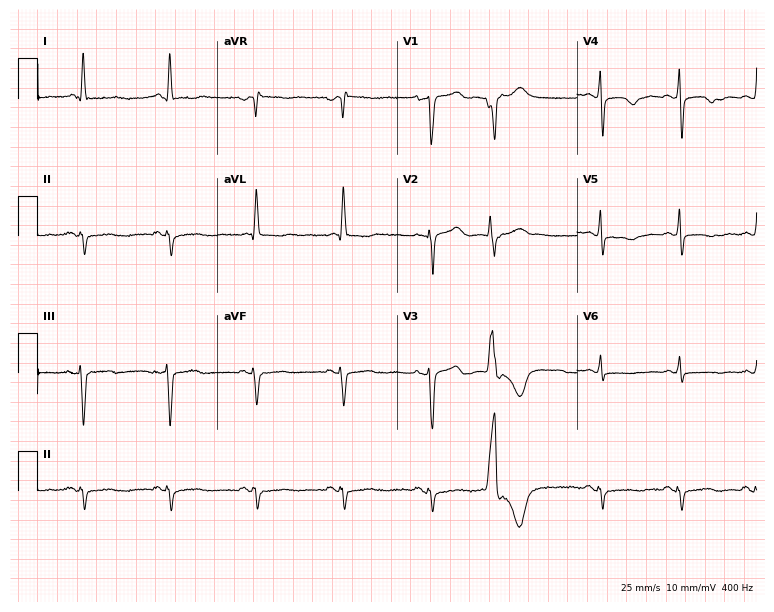
12-lead ECG from a 54-year-old woman (7.3-second recording at 400 Hz). No first-degree AV block, right bundle branch block, left bundle branch block, sinus bradycardia, atrial fibrillation or sinus tachycardia recorded for this tracing. Only these six findings were labelled.